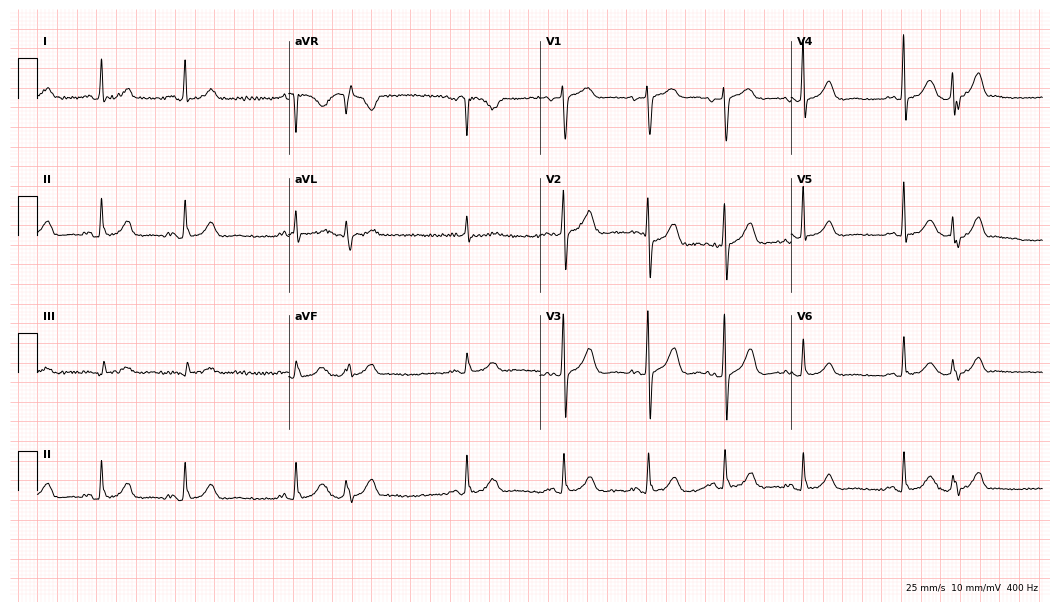
Resting 12-lead electrocardiogram (10.2-second recording at 400 Hz). Patient: a 67-year-old female. None of these six findings is recorded: first-degree AV block, right bundle branch block, left bundle branch block, sinus bradycardia, atrial fibrillation, sinus tachycardia.